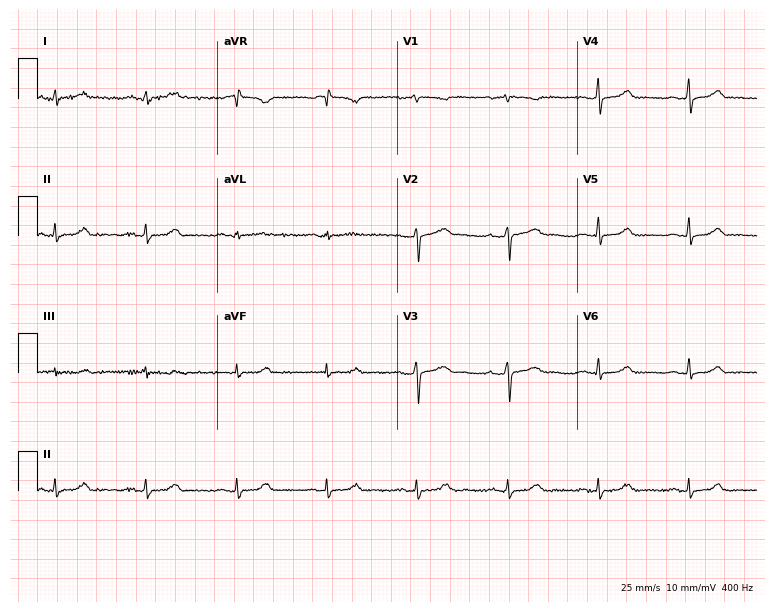
12-lead ECG from a female, 40 years old (7.3-second recording at 400 Hz). Recorded interpretation: within normal limits.